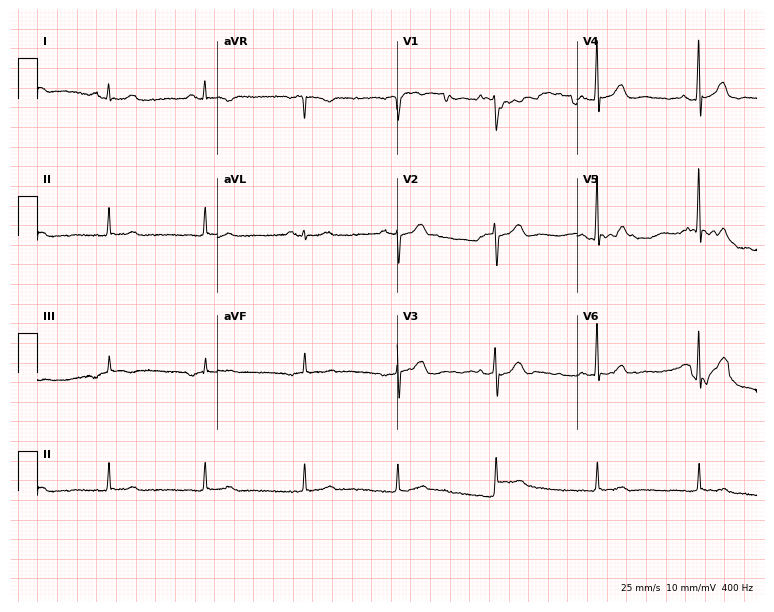
ECG (7.3-second recording at 400 Hz) — a 50-year-old woman. Labelled as a normal ECG.